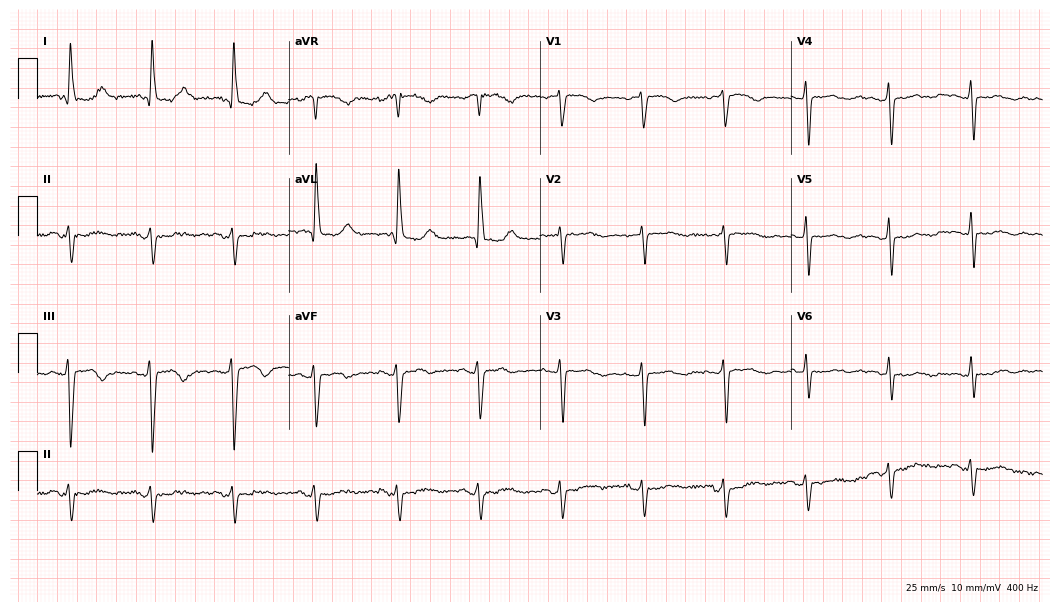
12-lead ECG from a female, 84 years old. No first-degree AV block, right bundle branch block, left bundle branch block, sinus bradycardia, atrial fibrillation or sinus tachycardia recorded for this tracing. Only these six findings were labelled.